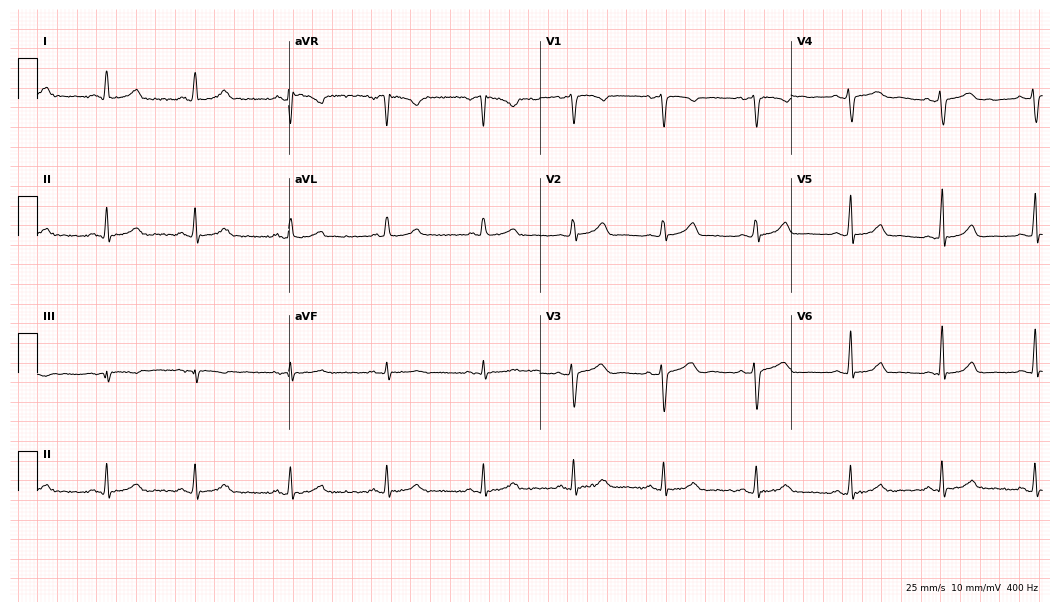
Resting 12-lead electrocardiogram (10.2-second recording at 400 Hz). Patient: a 42-year-old female. Read as a normal ECG.